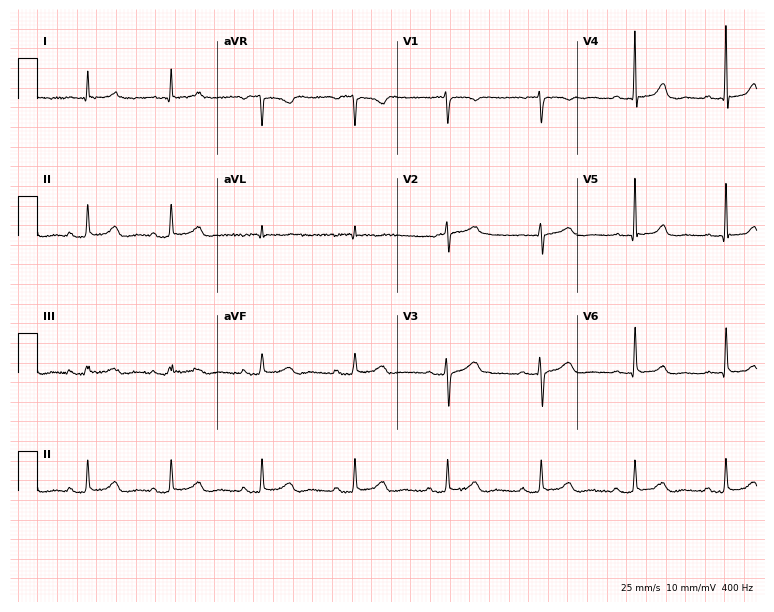
ECG (7.3-second recording at 400 Hz) — a 56-year-old woman. Findings include first-degree AV block.